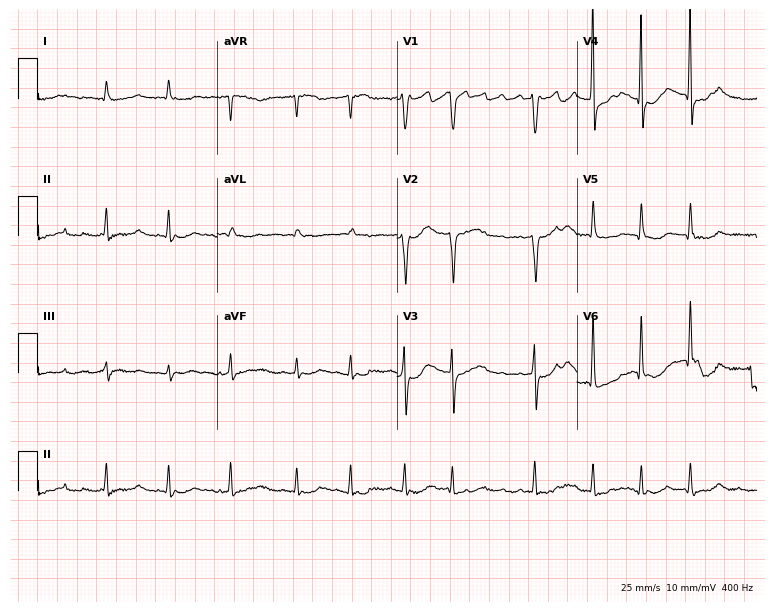
Electrocardiogram (7.3-second recording at 400 Hz), a 77-year-old woman. Interpretation includes atrial fibrillation.